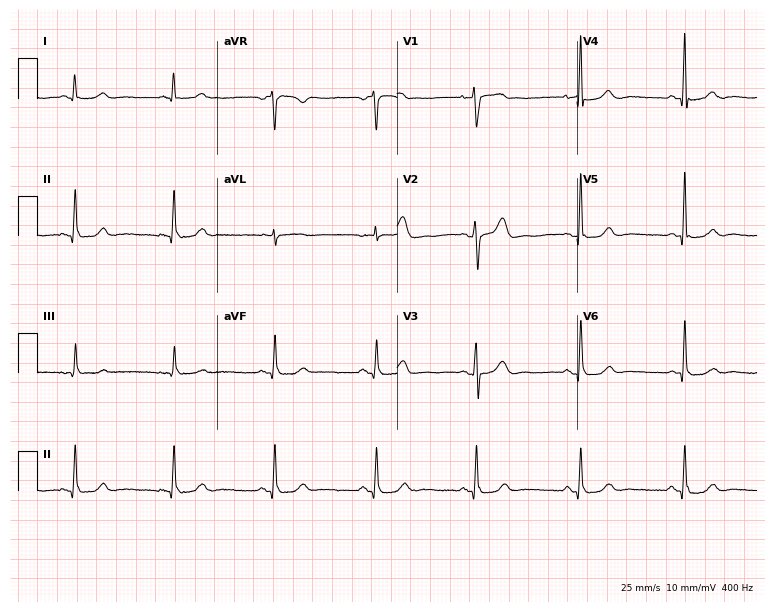
12-lead ECG (7.3-second recording at 400 Hz) from a 60-year-old female. Labelled as a normal ECG.